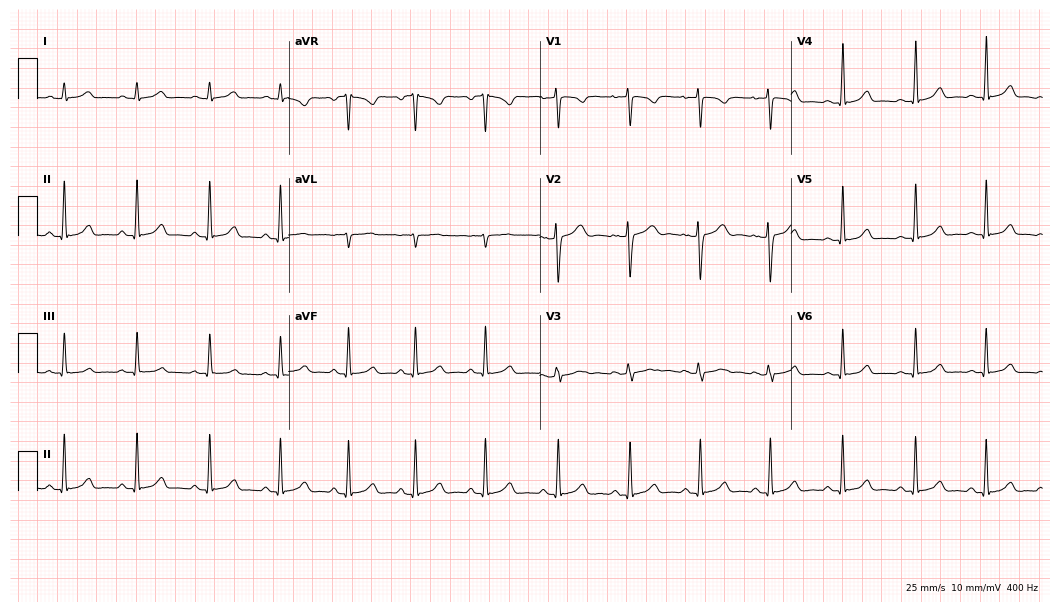
Electrocardiogram (10.2-second recording at 400 Hz), a 27-year-old female. Overall reading on record: normal ECG.